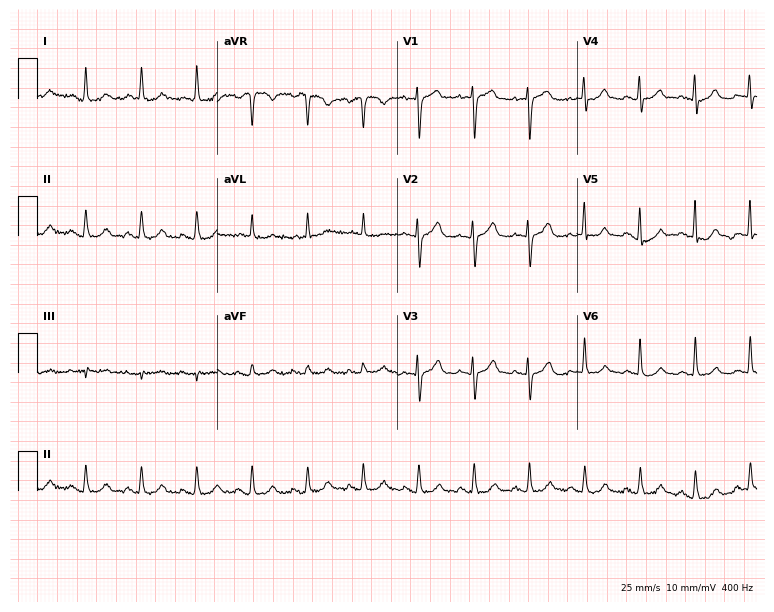
Electrocardiogram, a 73-year-old woman. Interpretation includes sinus tachycardia (a sinus rate of 100 beats per minute or more).